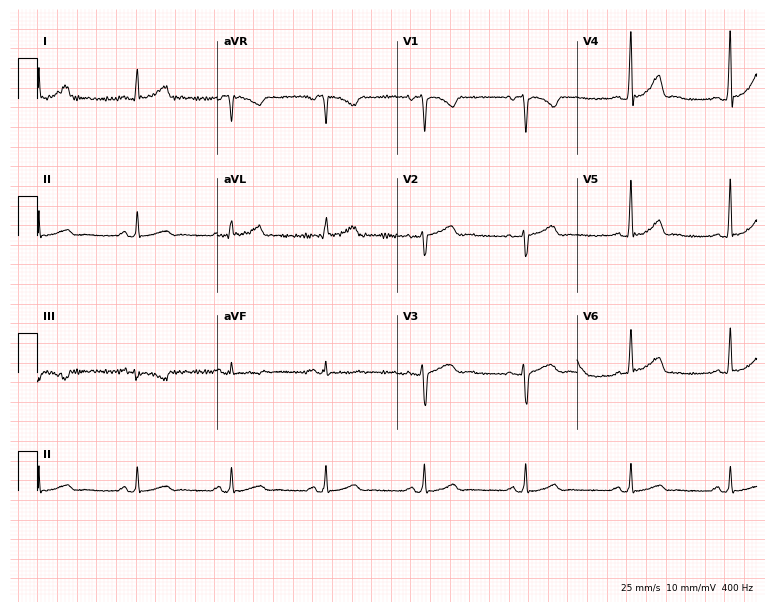
12-lead ECG from a 36-year-old female patient. Screened for six findings — first-degree AV block, right bundle branch block, left bundle branch block, sinus bradycardia, atrial fibrillation, sinus tachycardia — none is recorded.